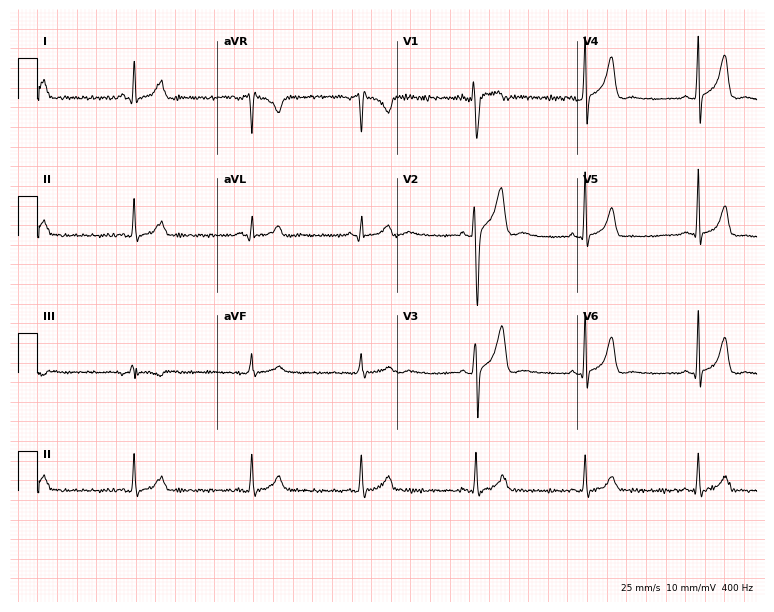
Resting 12-lead electrocardiogram (7.3-second recording at 400 Hz). Patient: a man, 24 years old. None of these six findings is recorded: first-degree AV block, right bundle branch block (RBBB), left bundle branch block (LBBB), sinus bradycardia, atrial fibrillation (AF), sinus tachycardia.